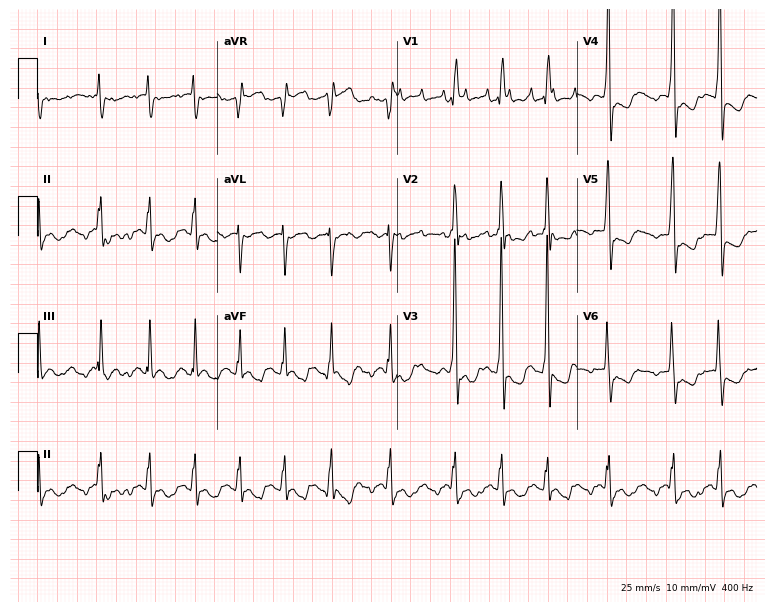
ECG — a 48-year-old woman. Findings include atrial fibrillation.